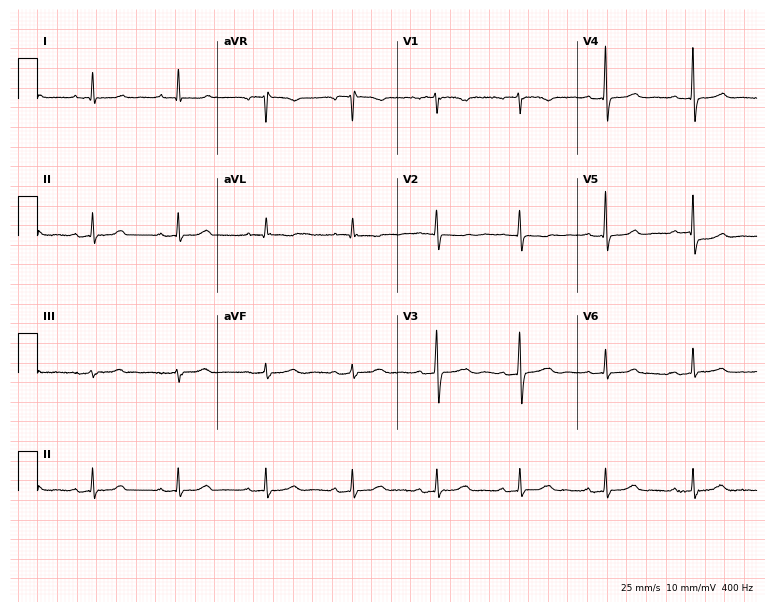
12-lead ECG (7.3-second recording at 400 Hz) from a female, 75 years old. Screened for six findings — first-degree AV block, right bundle branch block (RBBB), left bundle branch block (LBBB), sinus bradycardia, atrial fibrillation (AF), sinus tachycardia — none is recorded. Findings outside these six are not listed.